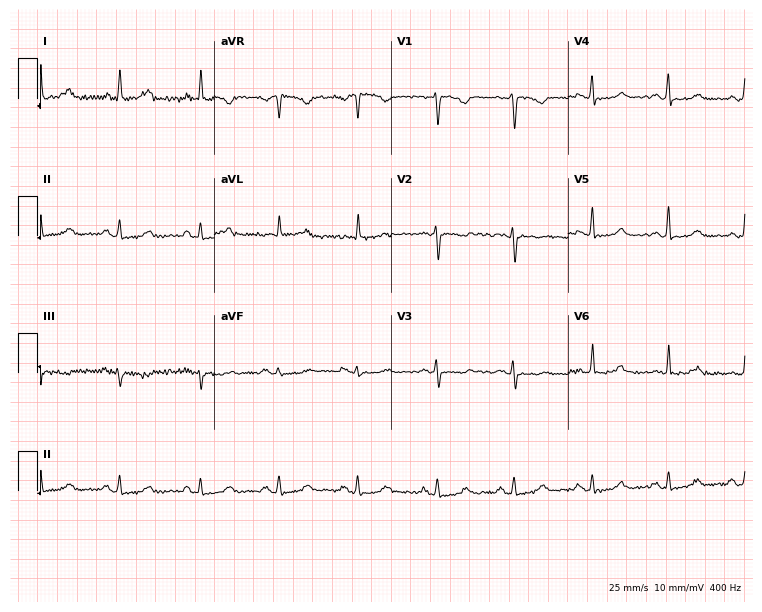
12-lead ECG from a female patient, 45 years old. Recorded interpretation: within normal limits.